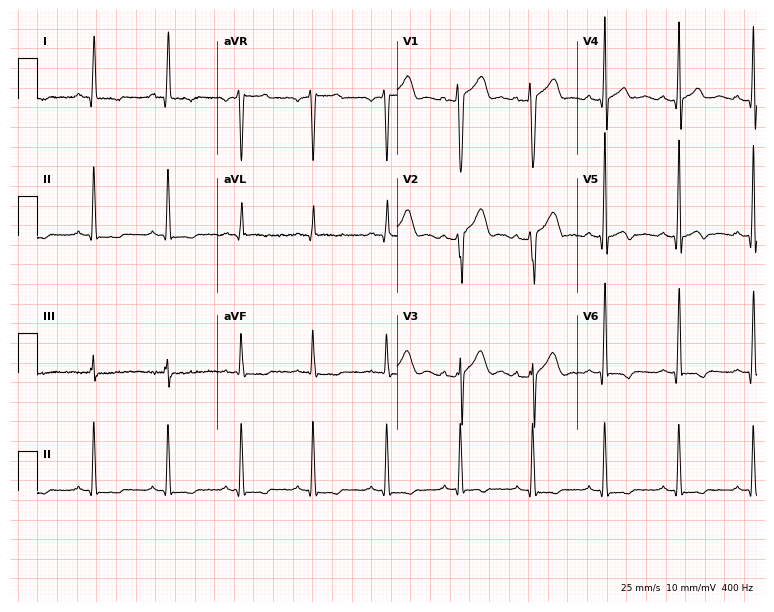
Resting 12-lead electrocardiogram (7.3-second recording at 400 Hz). Patient: a man, 31 years old. None of these six findings is recorded: first-degree AV block, right bundle branch block, left bundle branch block, sinus bradycardia, atrial fibrillation, sinus tachycardia. Findings outside these six are not listed.